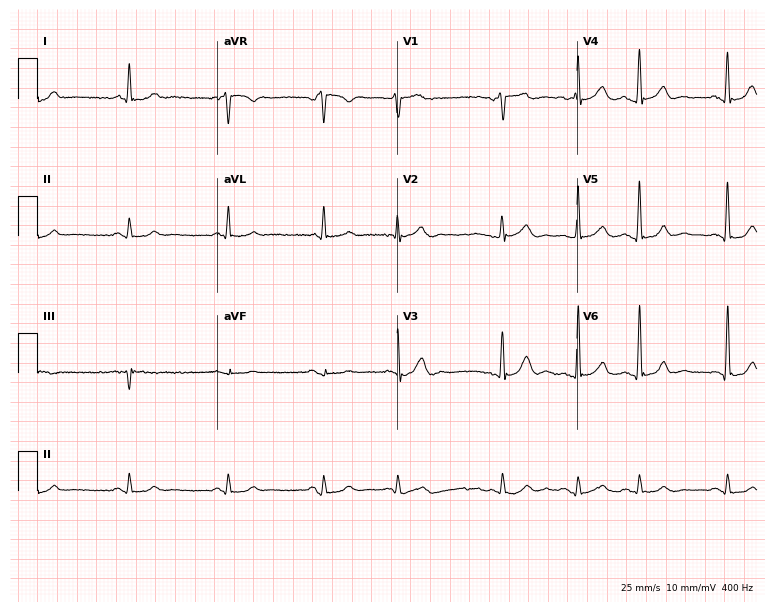
Standard 12-lead ECG recorded from an 83-year-old male. None of these six findings is recorded: first-degree AV block, right bundle branch block, left bundle branch block, sinus bradycardia, atrial fibrillation, sinus tachycardia.